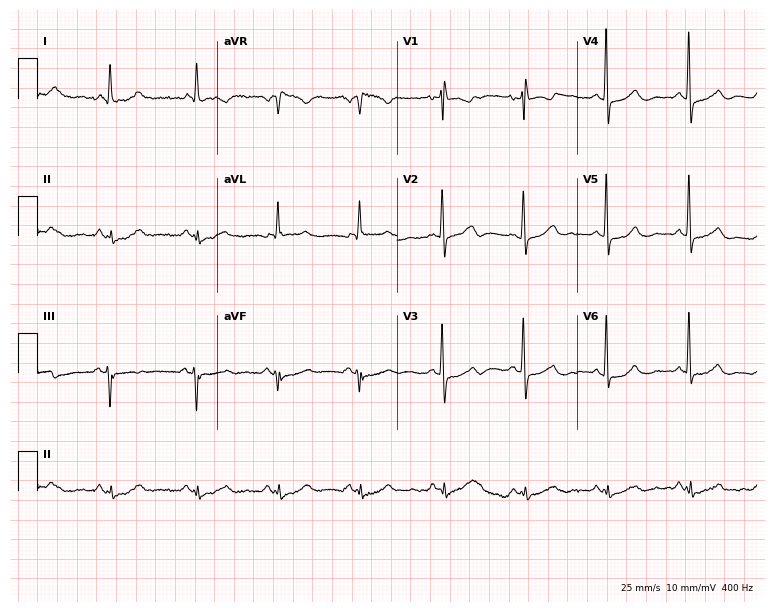
Standard 12-lead ECG recorded from a 71-year-old female (7.3-second recording at 400 Hz). Read as a normal ECG.